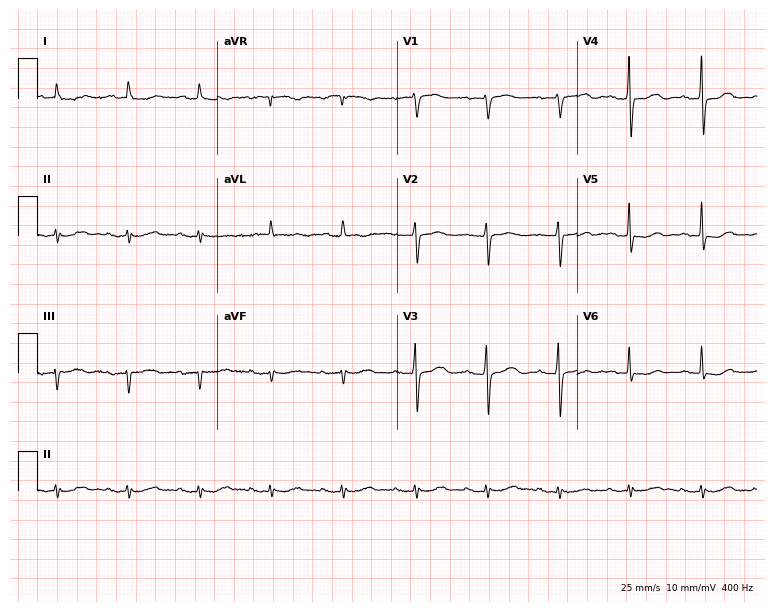
12-lead ECG from a female patient, 84 years old. No first-degree AV block, right bundle branch block, left bundle branch block, sinus bradycardia, atrial fibrillation or sinus tachycardia recorded for this tracing. Only these six findings were labelled.